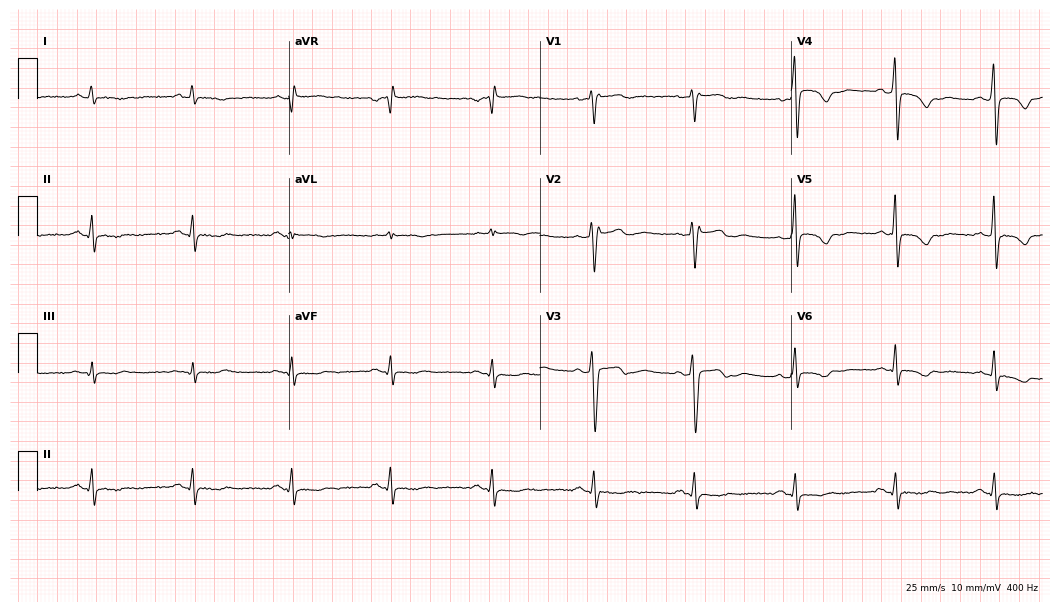
Resting 12-lead electrocardiogram (10.2-second recording at 400 Hz). Patient: a man, 57 years old. None of these six findings is recorded: first-degree AV block, right bundle branch block, left bundle branch block, sinus bradycardia, atrial fibrillation, sinus tachycardia.